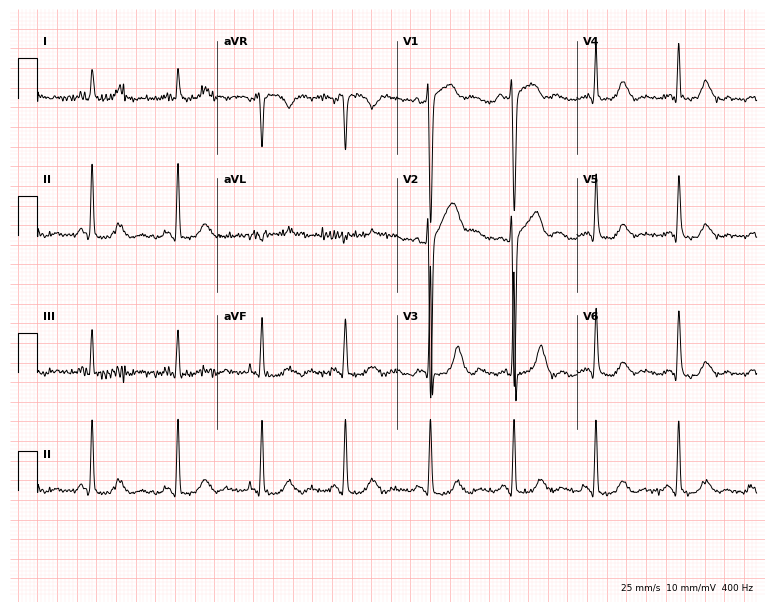
12-lead ECG from a 43-year-old male (7.3-second recording at 400 Hz). No first-degree AV block, right bundle branch block, left bundle branch block, sinus bradycardia, atrial fibrillation or sinus tachycardia recorded for this tracing. Other findings, if any, are not listed.